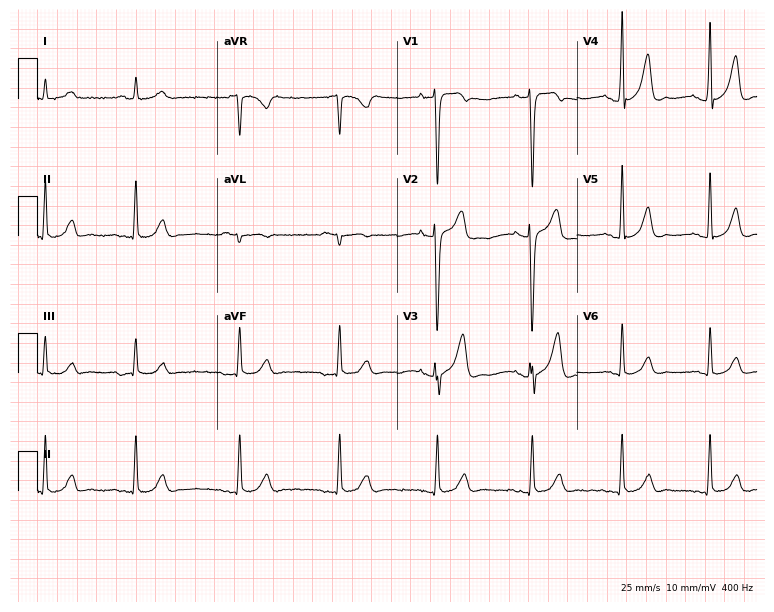
12-lead ECG from a man, 34 years old. Labelled as a normal ECG.